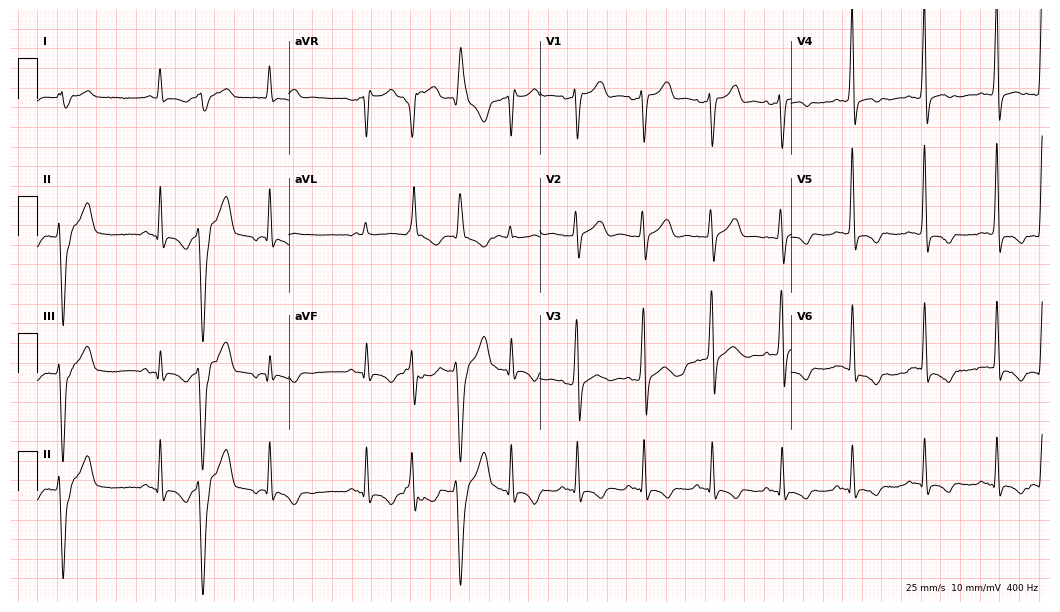
ECG (10.2-second recording at 400 Hz) — an 80-year-old male patient. Screened for six findings — first-degree AV block, right bundle branch block (RBBB), left bundle branch block (LBBB), sinus bradycardia, atrial fibrillation (AF), sinus tachycardia — none is recorded.